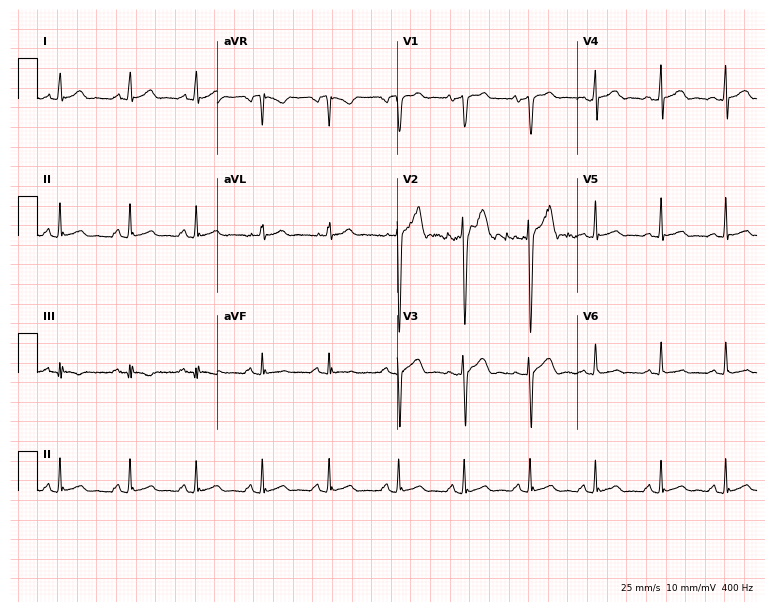
Resting 12-lead electrocardiogram (7.3-second recording at 400 Hz). Patient: a male, 22 years old. None of these six findings is recorded: first-degree AV block, right bundle branch block, left bundle branch block, sinus bradycardia, atrial fibrillation, sinus tachycardia.